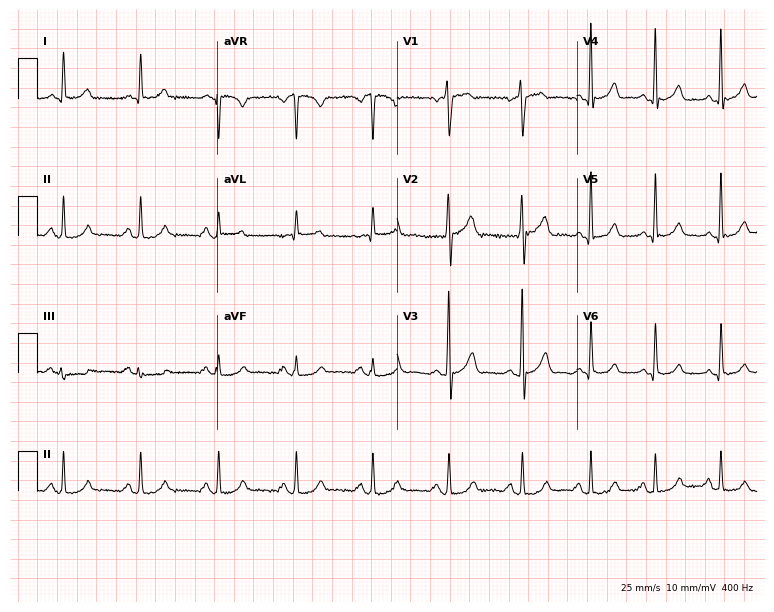
Resting 12-lead electrocardiogram. Patient: a male, 53 years old. Read as a normal ECG.